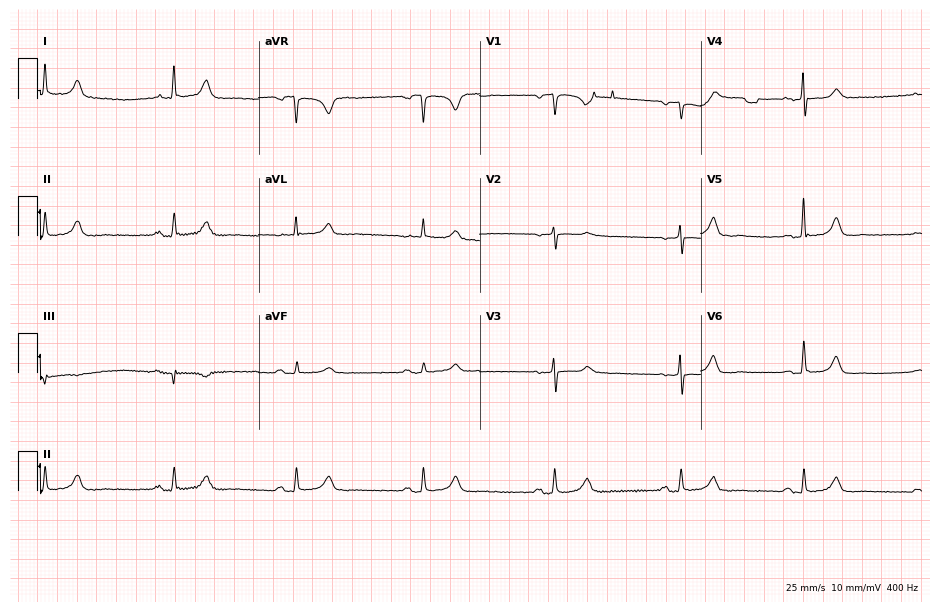
Electrocardiogram, a female patient, 74 years old. Interpretation includes sinus bradycardia (a sinus rate of 50 beats per minute or less).